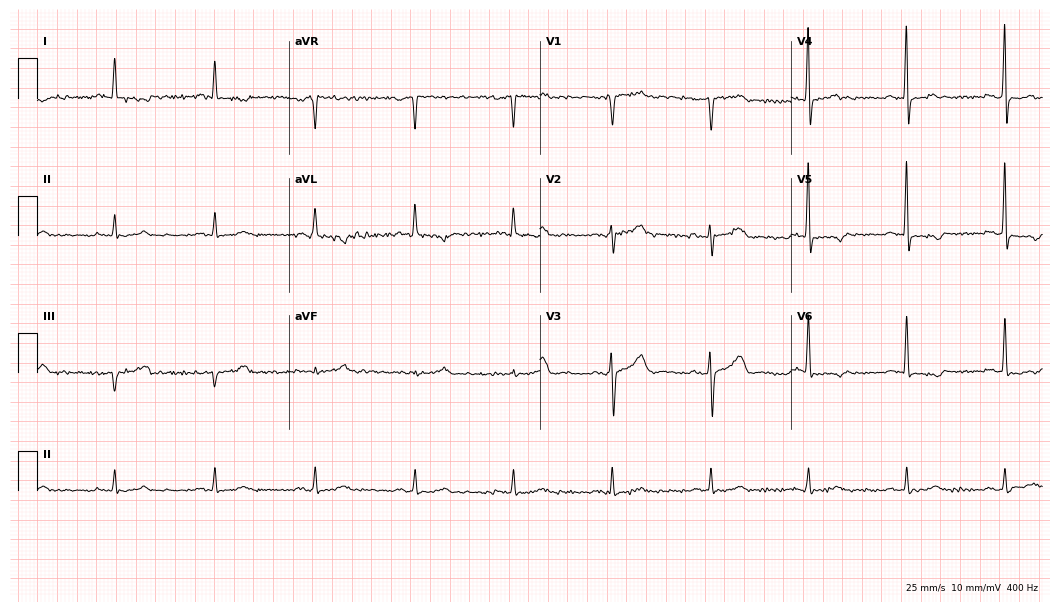
12-lead ECG (10.2-second recording at 400 Hz) from a 60-year-old male patient. Screened for six findings — first-degree AV block, right bundle branch block, left bundle branch block, sinus bradycardia, atrial fibrillation, sinus tachycardia — none is recorded. Only these six findings were labelled.